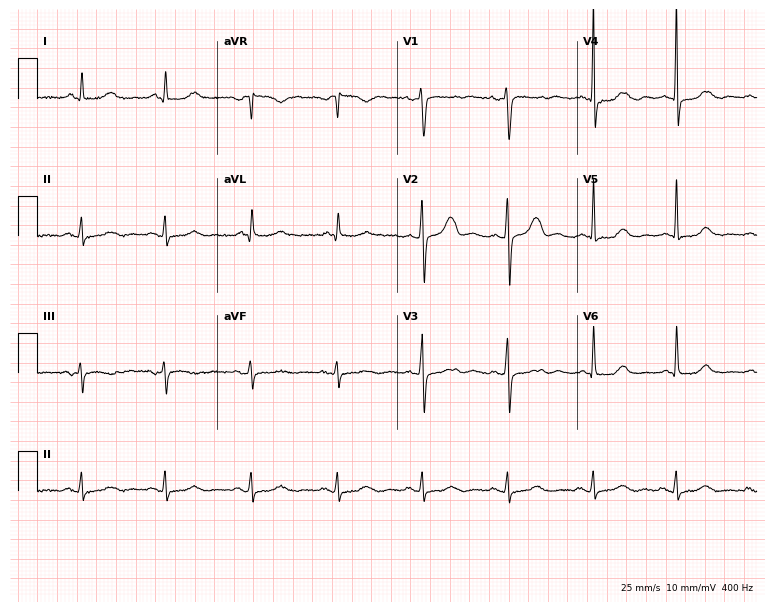
Resting 12-lead electrocardiogram (7.3-second recording at 400 Hz). Patient: a 50-year-old woman. Read as a normal ECG.